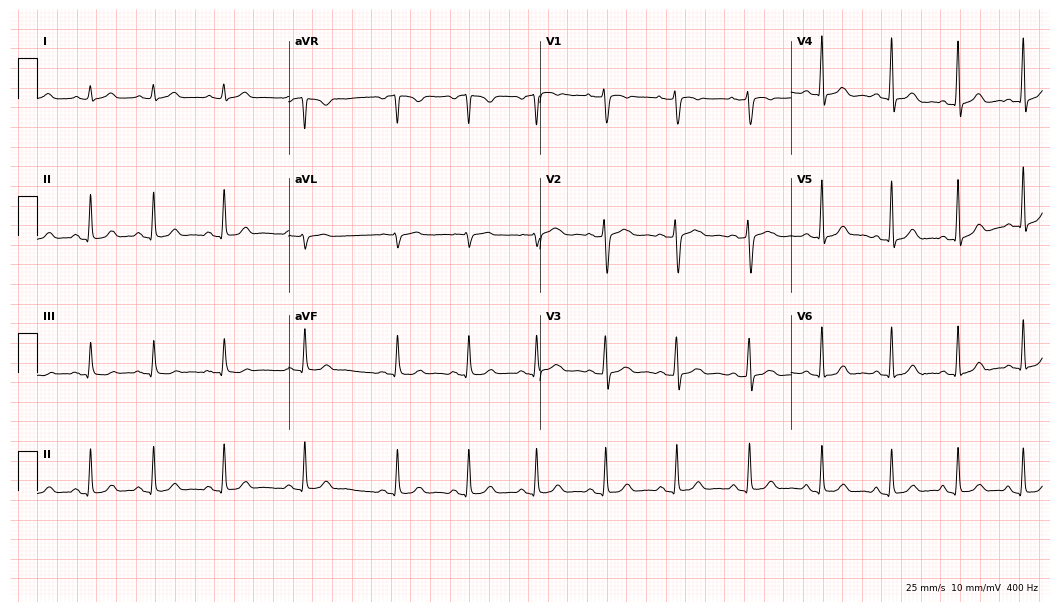
12-lead ECG from a 41-year-old woman. No first-degree AV block, right bundle branch block, left bundle branch block, sinus bradycardia, atrial fibrillation or sinus tachycardia recorded for this tracing. Other findings, if any, are not listed.